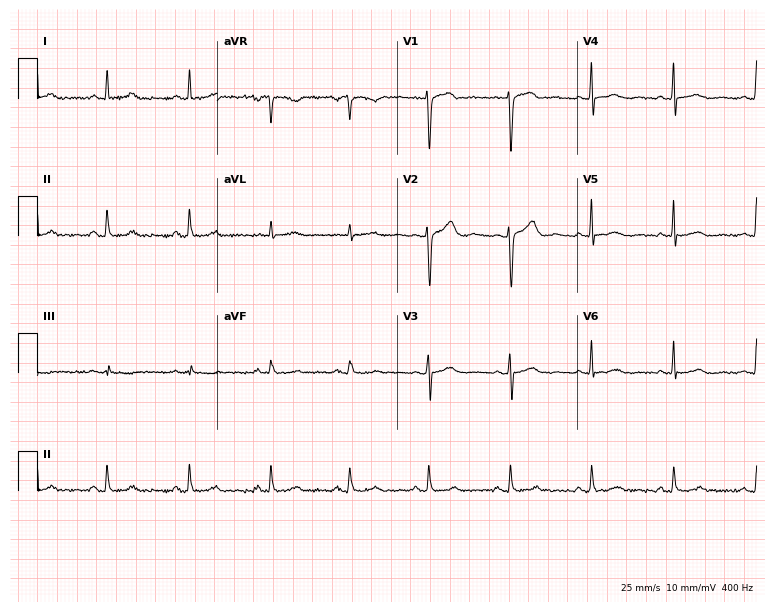
Standard 12-lead ECG recorded from a 27-year-old woman (7.3-second recording at 400 Hz). None of these six findings is recorded: first-degree AV block, right bundle branch block, left bundle branch block, sinus bradycardia, atrial fibrillation, sinus tachycardia.